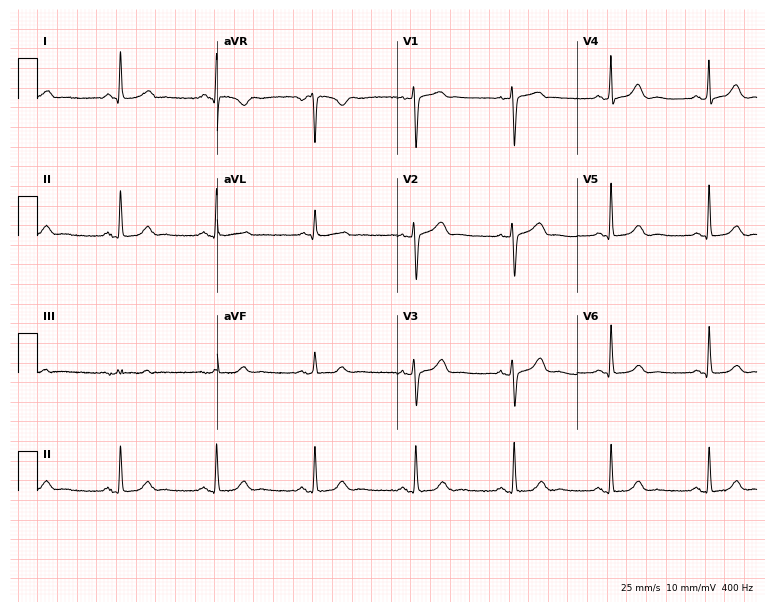
12-lead ECG from a 53-year-old woman (7.3-second recording at 400 Hz). Recorded interpretation: within normal limits.